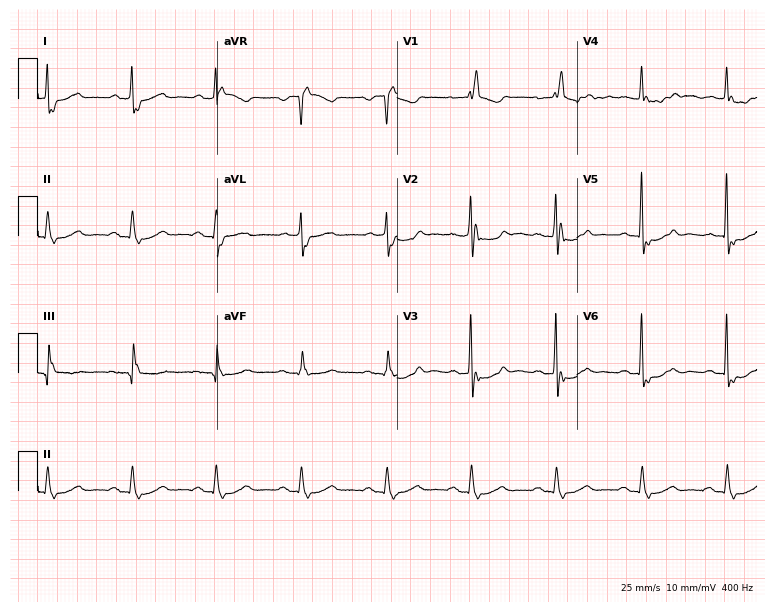
12-lead ECG (7.3-second recording at 400 Hz) from a female, 80 years old. Findings include right bundle branch block.